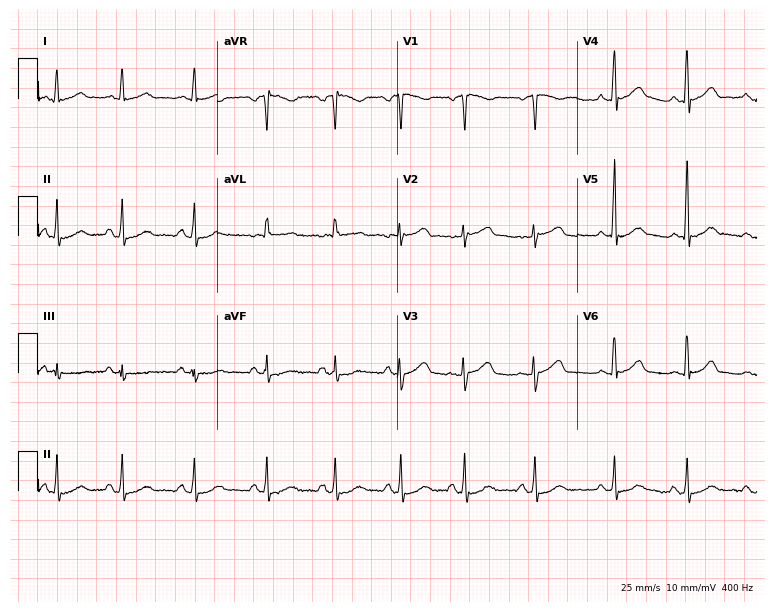
Resting 12-lead electrocardiogram. Patient: a 45-year-old female. Read as a normal ECG.